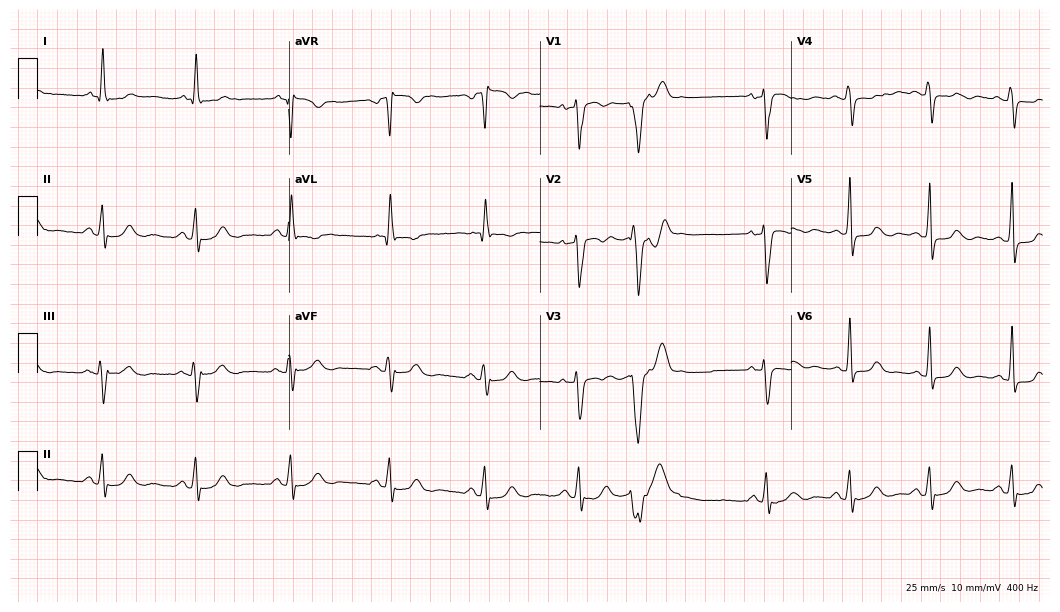
12-lead ECG from a 70-year-old woman (10.2-second recording at 400 Hz). No first-degree AV block, right bundle branch block, left bundle branch block, sinus bradycardia, atrial fibrillation or sinus tachycardia recorded for this tracing.